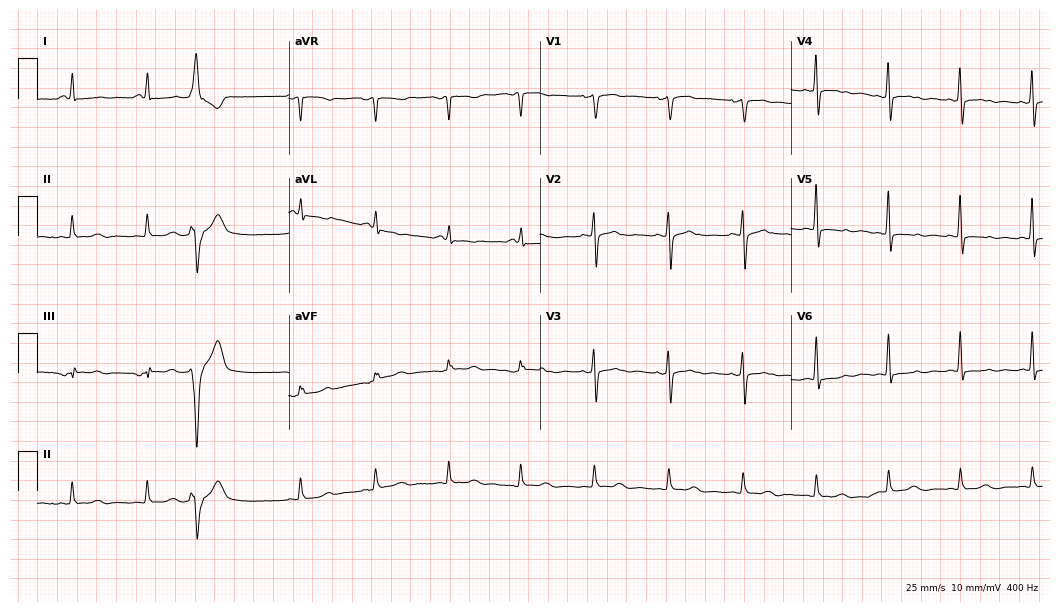
Resting 12-lead electrocardiogram (10.2-second recording at 400 Hz). Patient: a 66-year-old female. None of these six findings is recorded: first-degree AV block, right bundle branch block, left bundle branch block, sinus bradycardia, atrial fibrillation, sinus tachycardia. Only these six findings were labelled.